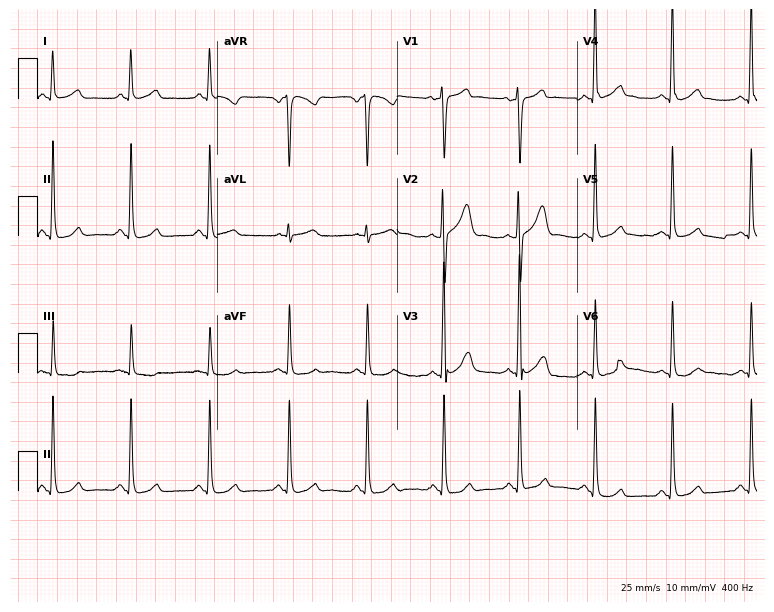
ECG — a 44-year-old man. Labelled as a normal ECG.